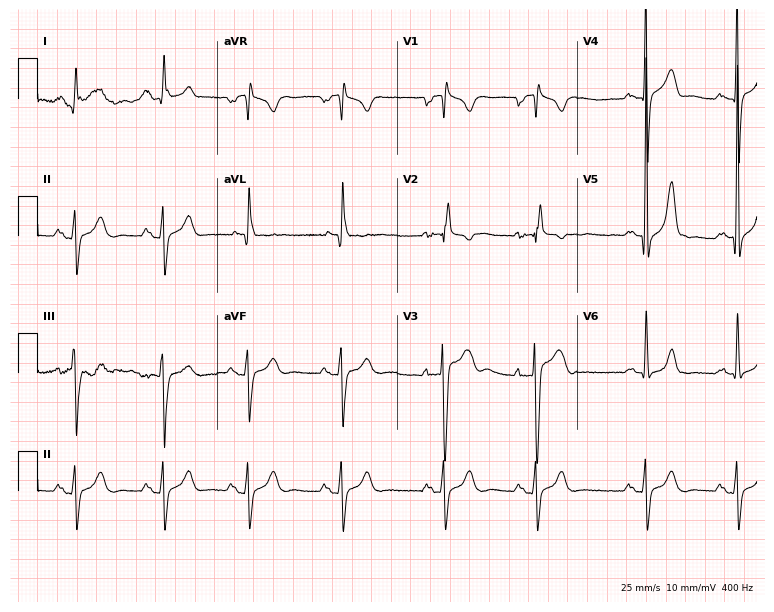
12-lead ECG from a 24-year-old man. Screened for six findings — first-degree AV block, right bundle branch block, left bundle branch block, sinus bradycardia, atrial fibrillation, sinus tachycardia — none is recorded. Other findings, if any, are not listed.